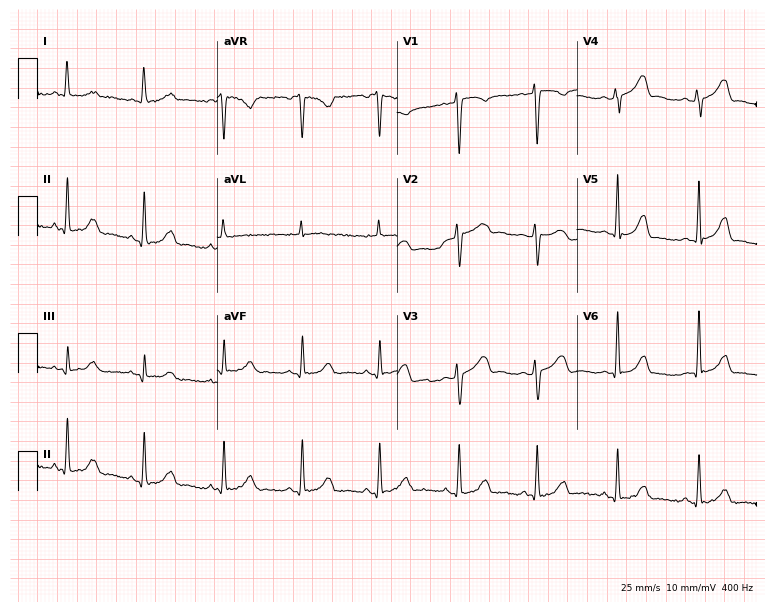
ECG — a 41-year-old female. Screened for six findings — first-degree AV block, right bundle branch block, left bundle branch block, sinus bradycardia, atrial fibrillation, sinus tachycardia — none is recorded.